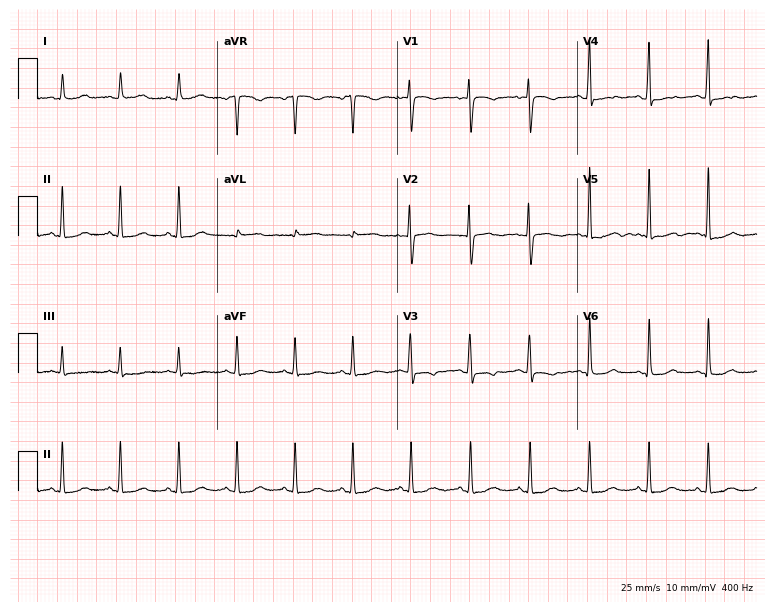
Resting 12-lead electrocardiogram (7.3-second recording at 400 Hz). Patient: a 47-year-old woman. None of these six findings is recorded: first-degree AV block, right bundle branch block, left bundle branch block, sinus bradycardia, atrial fibrillation, sinus tachycardia. Other findings, if any, are not listed.